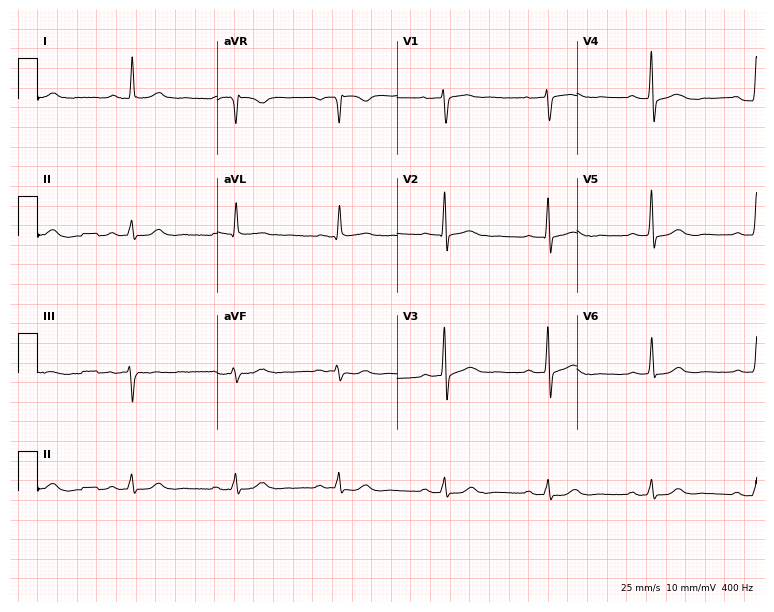
Standard 12-lead ECG recorded from a male patient, 81 years old (7.3-second recording at 400 Hz). None of these six findings is recorded: first-degree AV block, right bundle branch block, left bundle branch block, sinus bradycardia, atrial fibrillation, sinus tachycardia. Findings outside these six are not listed.